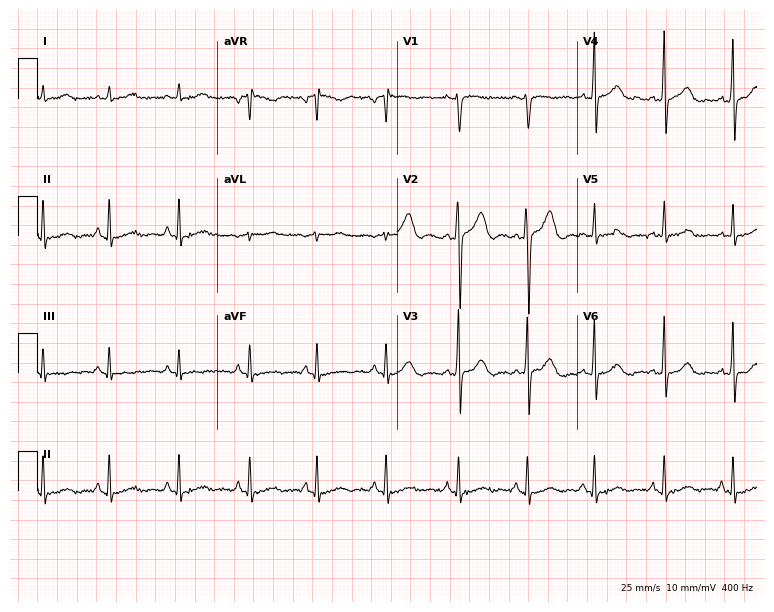
Electrocardiogram (7.3-second recording at 400 Hz), a woman, 50 years old. Of the six screened findings (first-degree AV block, right bundle branch block (RBBB), left bundle branch block (LBBB), sinus bradycardia, atrial fibrillation (AF), sinus tachycardia), none is recorded.